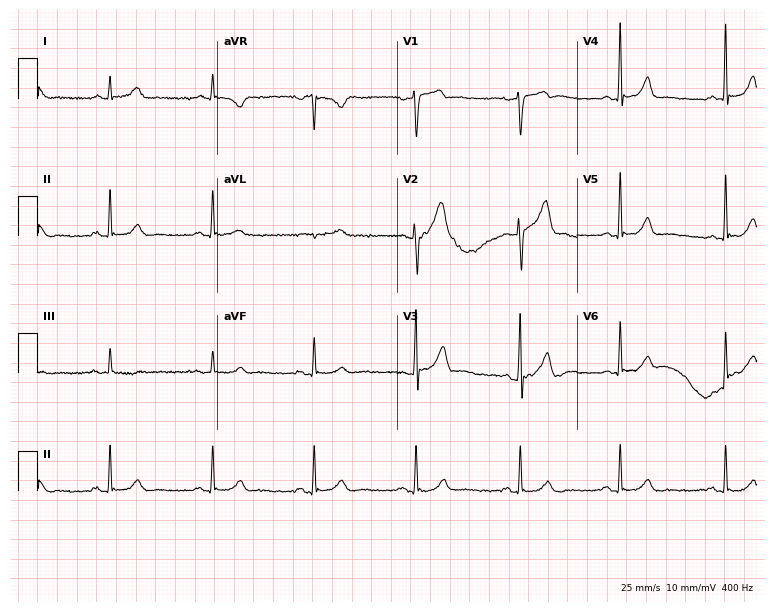
Electrocardiogram, a 46-year-old man. Overall reading on record: normal ECG.